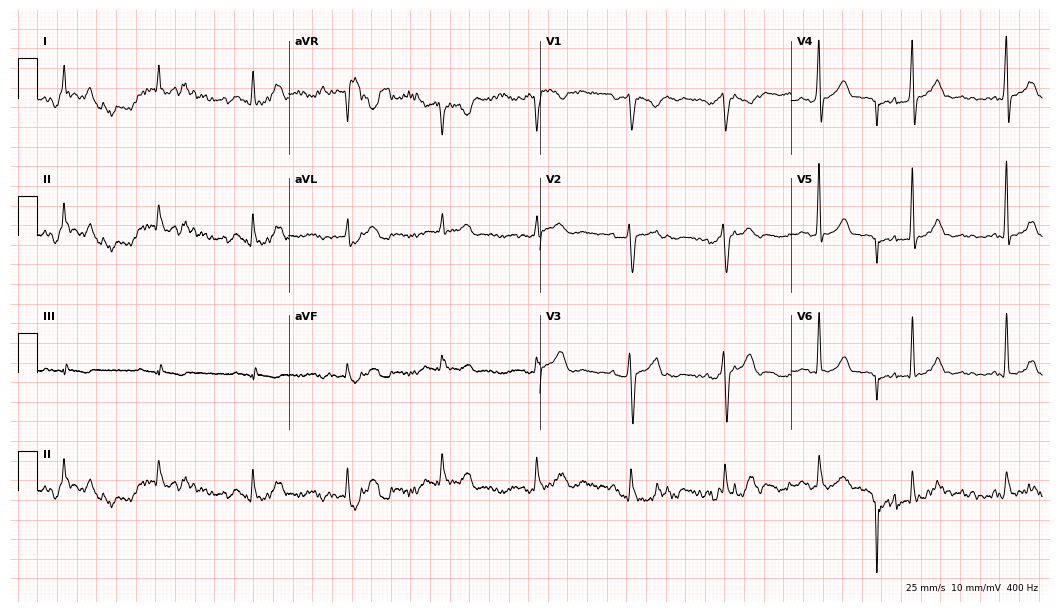
Resting 12-lead electrocardiogram (10.2-second recording at 400 Hz). Patient: a 53-year-old male. Read as a normal ECG.